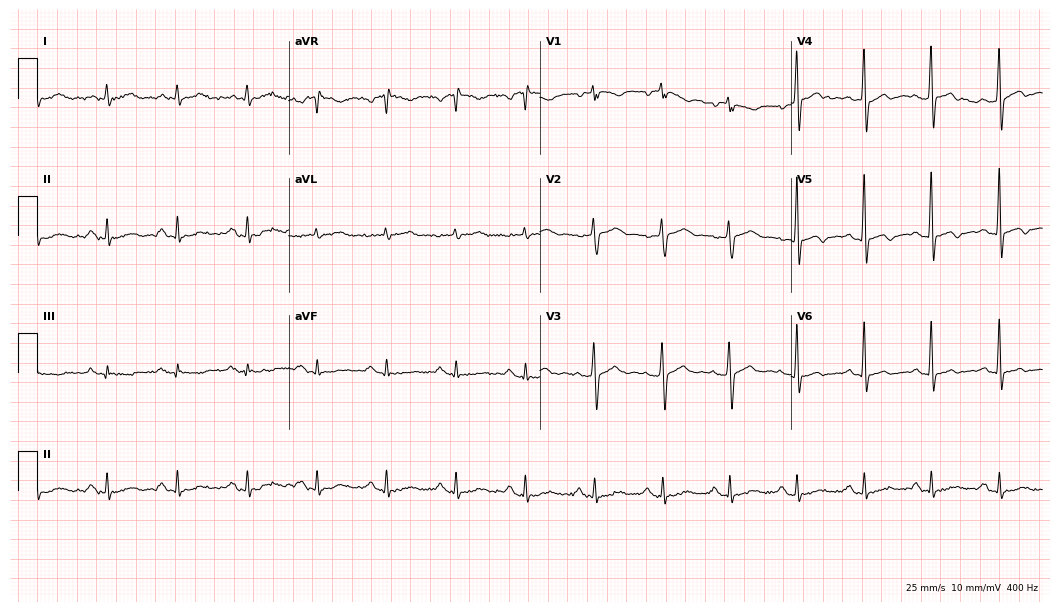
Resting 12-lead electrocardiogram. Patient: a male, 66 years old. None of these six findings is recorded: first-degree AV block, right bundle branch block (RBBB), left bundle branch block (LBBB), sinus bradycardia, atrial fibrillation (AF), sinus tachycardia. Findings outside these six are not listed.